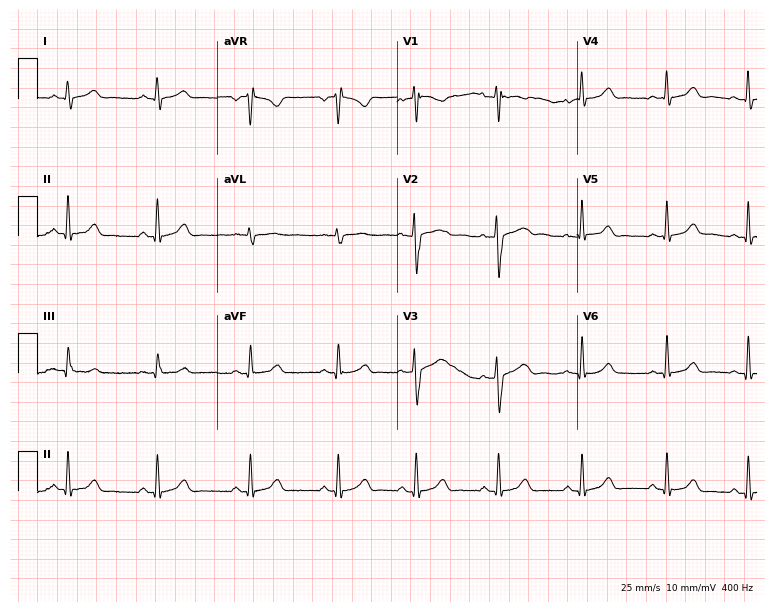
12-lead ECG (7.3-second recording at 400 Hz) from a woman, 30 years old. Labelled as a normal ECG.